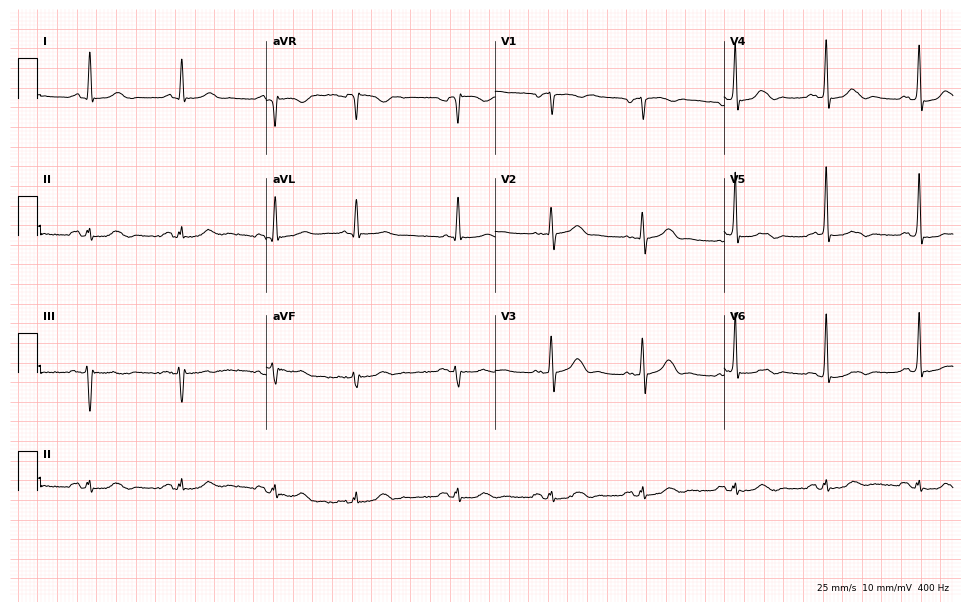
Resting 12-lead electrocardiogram. Patient: an 85-year-old female. None of these six findings is recorded: first-degree AV block, right bundle branch block, left bundle branch block, sinus bradycardia, atrial fibrillation, sinus tachycardia.